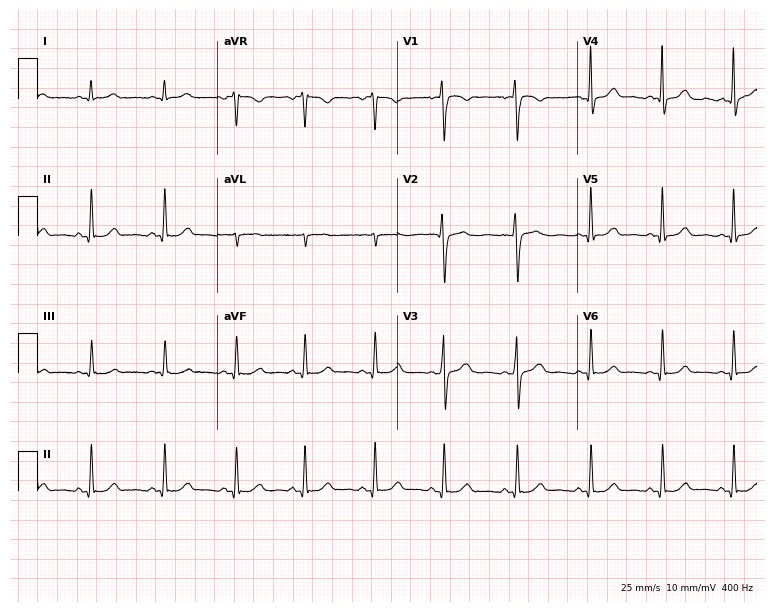
Electrocardiogram, a 29-year-old female. Overall reading on record: normal ECG.